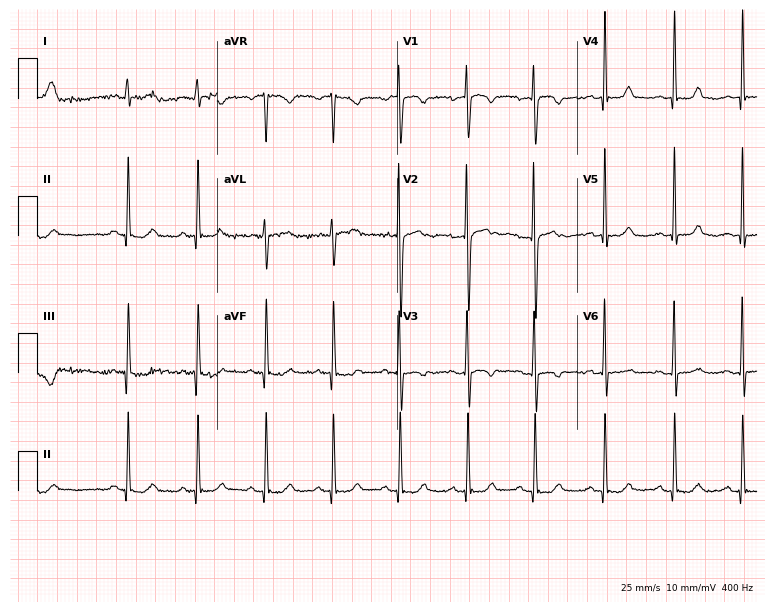
Standard 12-lead ECG recorded from a female patient, 24 years old. Read as a normal ECG.